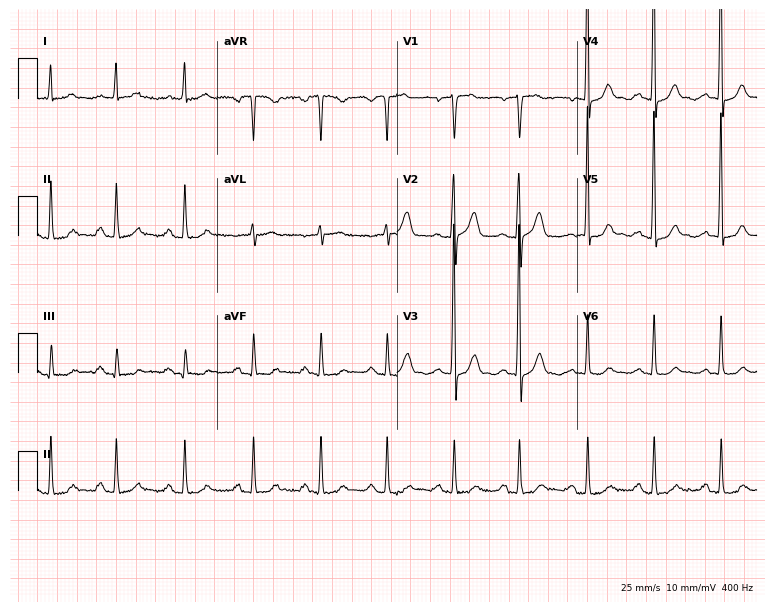
12-lead ECG from a 71-year-old man. Screened for six findings — first-degree AV block, right bundle branch block (RBBB), left bundle branch block (LBBB), sinus bradycardia, atrial fibrillation (AF), sinus tachycardia — none is recorded. Other findings, if any, are not listed.